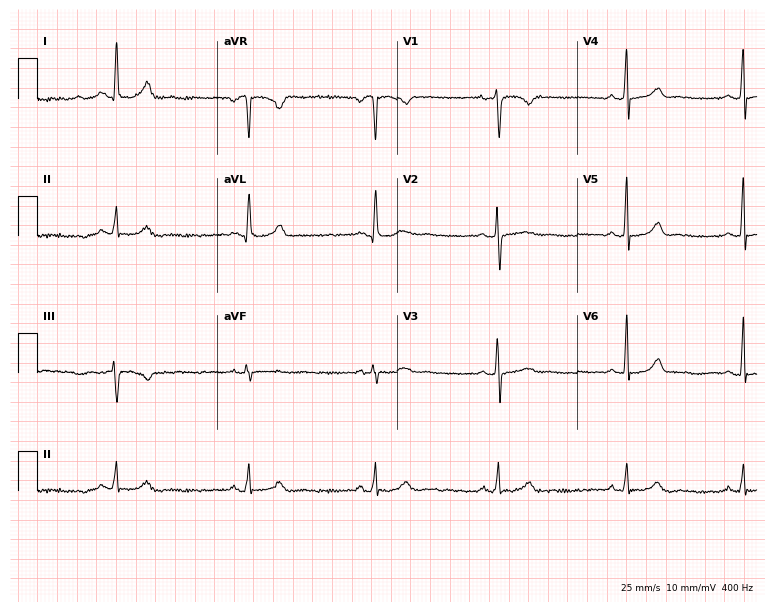
Standard 12-lead ECG recorded from a female patient, 38 years old. None of these six findings is recorded: first-degree AV block, right bundle branch block, left bundle branch block, sinus bradycardia, atrial fibrillation, sinus tachycardia. Findings outside these six are not listed.